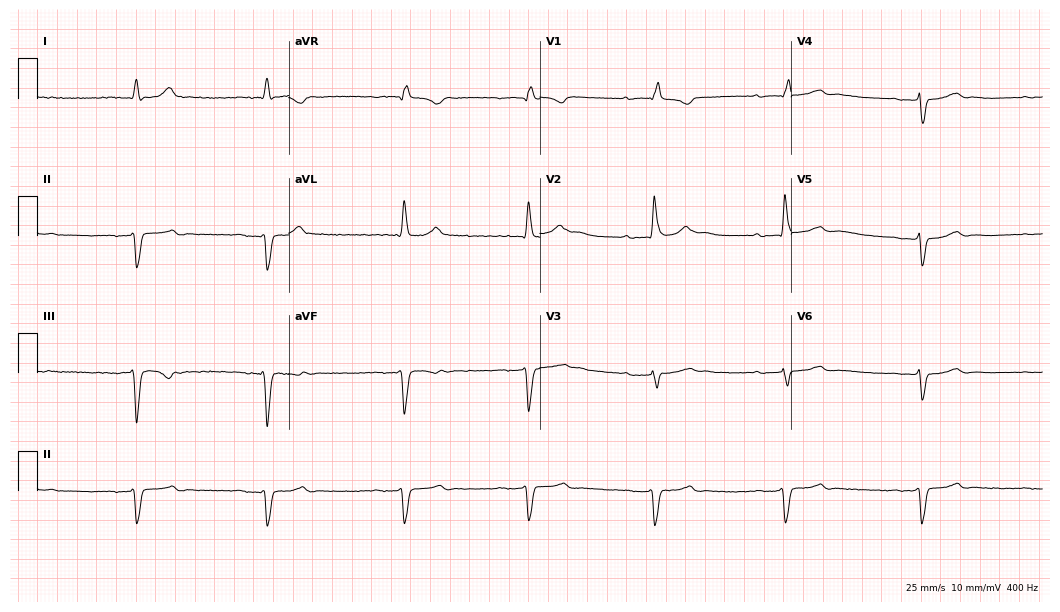
Resting 12-lead electrocardiogram (10.2-second recording at 400 Hz). Patient: a 49-year-old female. The tracing shows first-degree AV block, right bundle branch block.